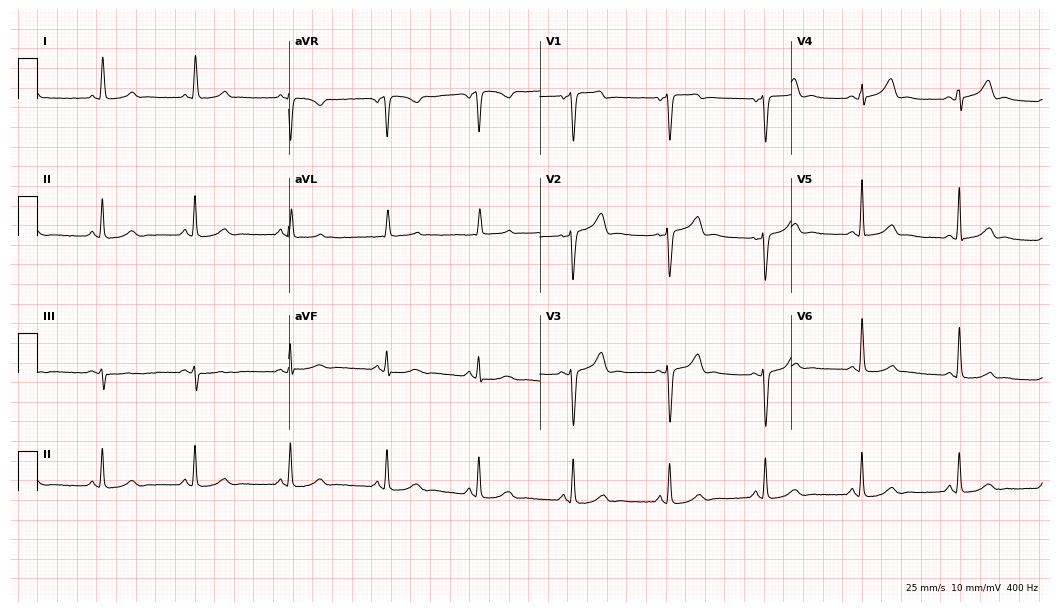
12-lead ECG from a 55-year-old female patient. Labelled as a normal ECG.